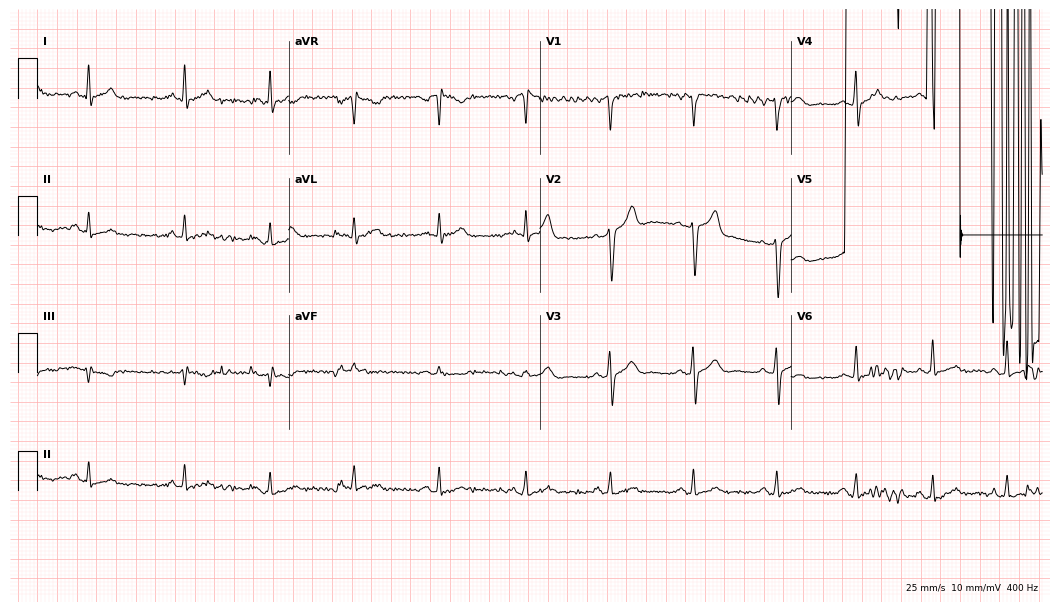
ECG (10.2-second recording at 400 Hz) — a man, 43 years old. Screened for six findings — first-degree AV block, right bundle branch block (RBBB), left bundle branch block (LBBB), sinus bradycardia, atrial fibrillation (AF), sinus tachycardia — none is recorded.